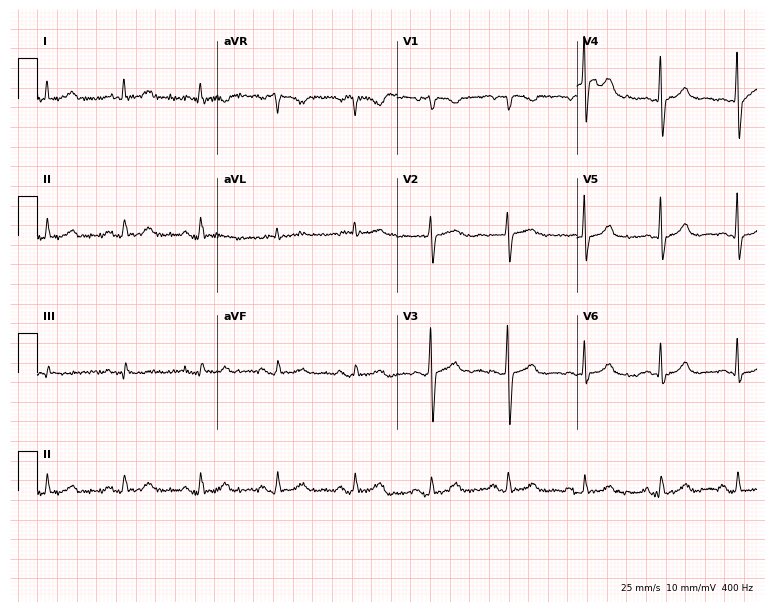
12-lead ECG from a 74-year-old woman (7.3-second recording at 400 Hz). Recorded interpretation: within normal limits.